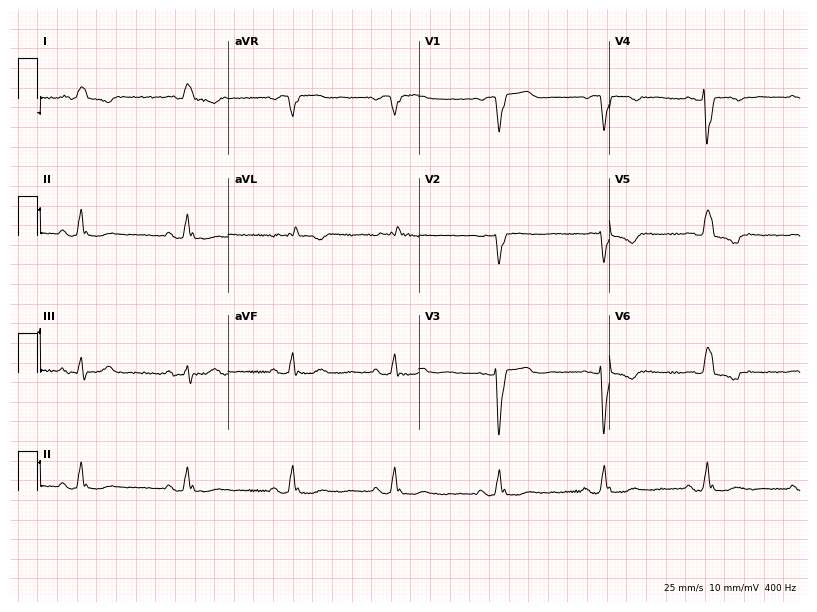
12-lead ECG from a 73-year-old female. Findings include left bundle branch block.